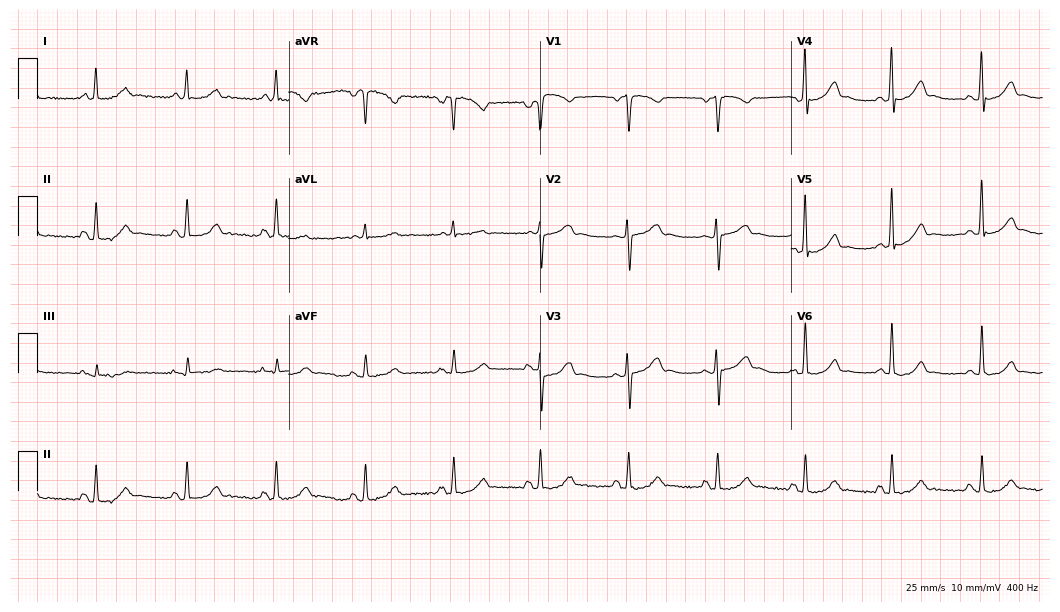
12-lead ECG (10.2-second recording at 400 Hz) from a 45-year-old woman. Labelled as a normal ECG.